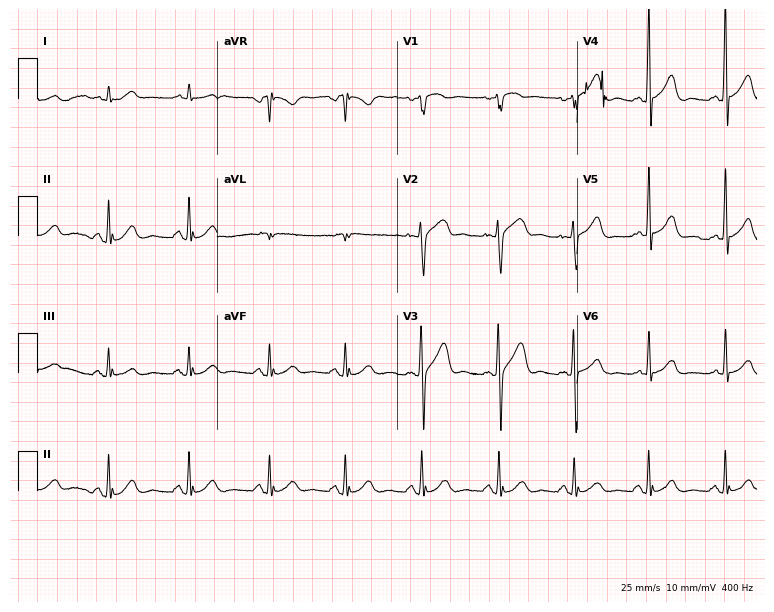
12-lead ECG from a male, 78 years old (7.3-second recording at 400 Hz). No first-degree AV block, right bundle branch block (RBBB), left bundle branch block (LBBB), sinus bradycardia, atrial fibrillation (AF) or sinus tachycardia recorded for this tracing. Findings outside these six are not listed.